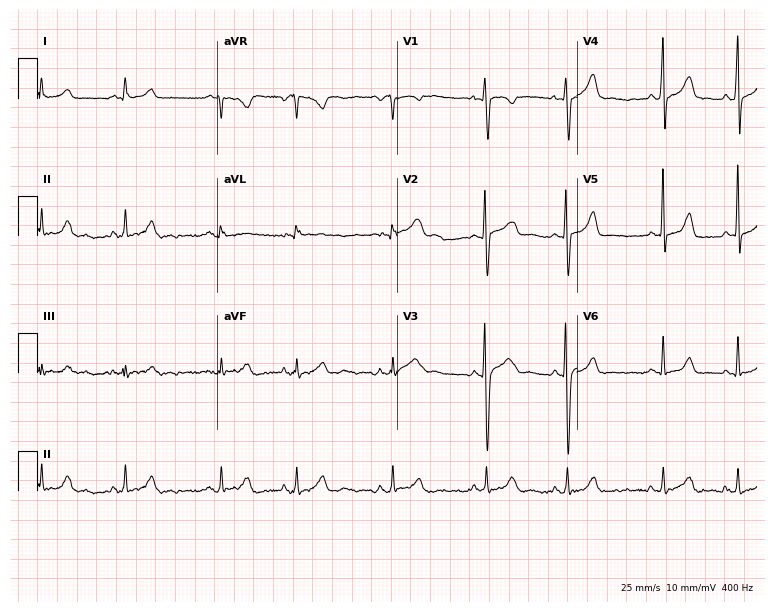
Electrocardiogram (7.3-second recording at 400 Hz), a 28-year-old female. Overall reading on record: normal ECG.